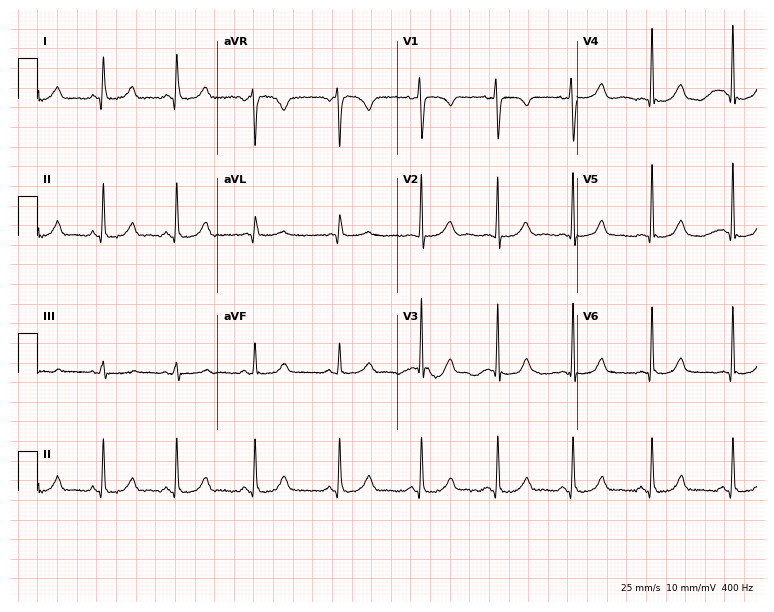
12-lead ECG from a female patient, 28 years old. Recorded interpretation: within normal limits.